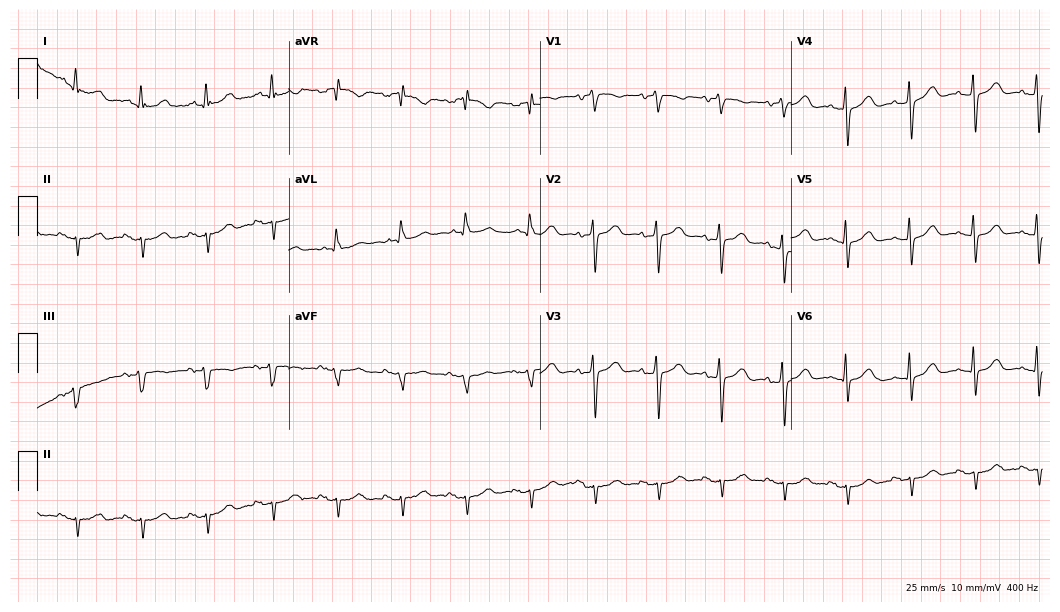
ECG — a 78-year-old female. Screened for six findings — first-degree AV block, right bundle branch block, left bundle branch block, sinus bradycardia, atrial fibrillation, sinus tachycardia — none is recorded. Only these six findings were labelled.